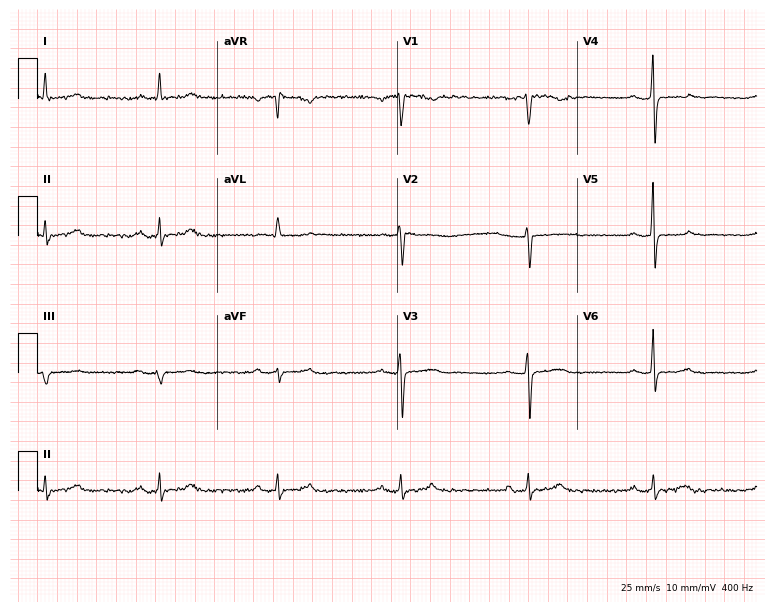
Standard 12-lead ECG recorded from a 55-year-old female (7.3-second recording at 400 Hz). None of these six findings is recorded: first-degree AV block, right bundle branch block (RBBB), left bundle branch block (LBBB), sinus bradycardia, atrial fibrillation (AF), sinus tachycardia.